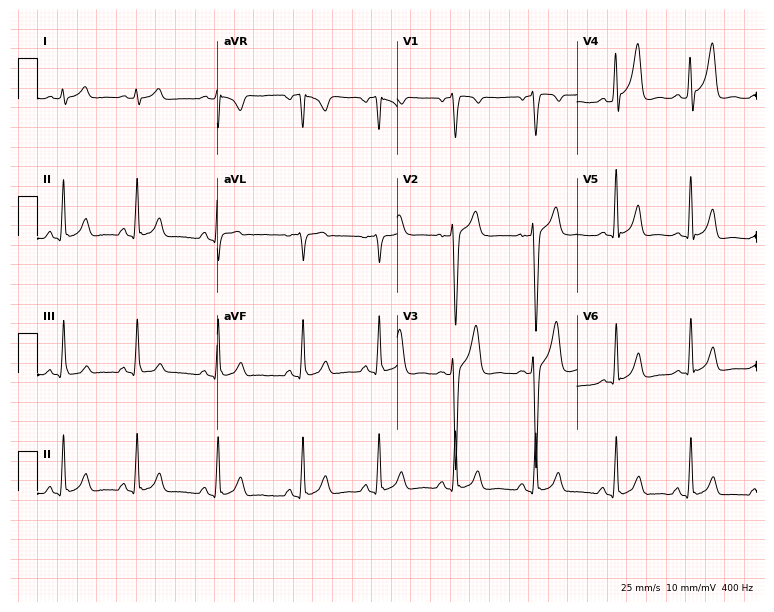
Standard 12-lead ECG recorded from a man, 26 years old (7.3-second recording at 400 Hz). None of these six findings is recorded: first-degree AV block, right bundle branch block, left bundle branch block, sinus bradycardia, atrial fibrillation, sinus tachycardia.